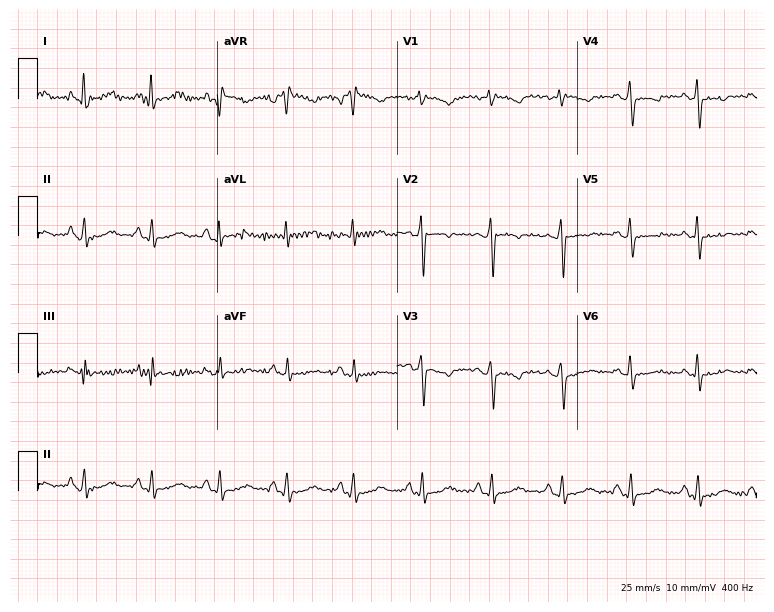
Standard 12-lead ECG recorded from a woman, 52 years old (7.3-second recording at 400 Hz). None of these six findings is recorded: first-degree AV block, right bundle branch block, left bundle branch block, sinus bradycardia, atrial fibrillation, sinus tachycardia. Findings outside these six are not listed.